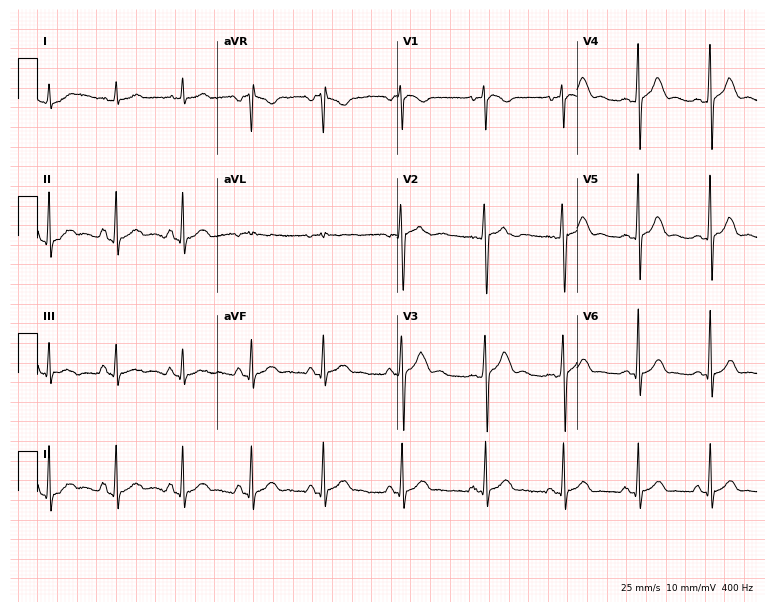
Standard 12-lead ECG recorded from a 26-year-old man (7.3-second recording at 400 Hz). None of these six findings is recorded: first-degree AV block, right bundle branch block, left bundle branch block, sinus bradycardia, atrial fibrillation, sinus tachycardia.